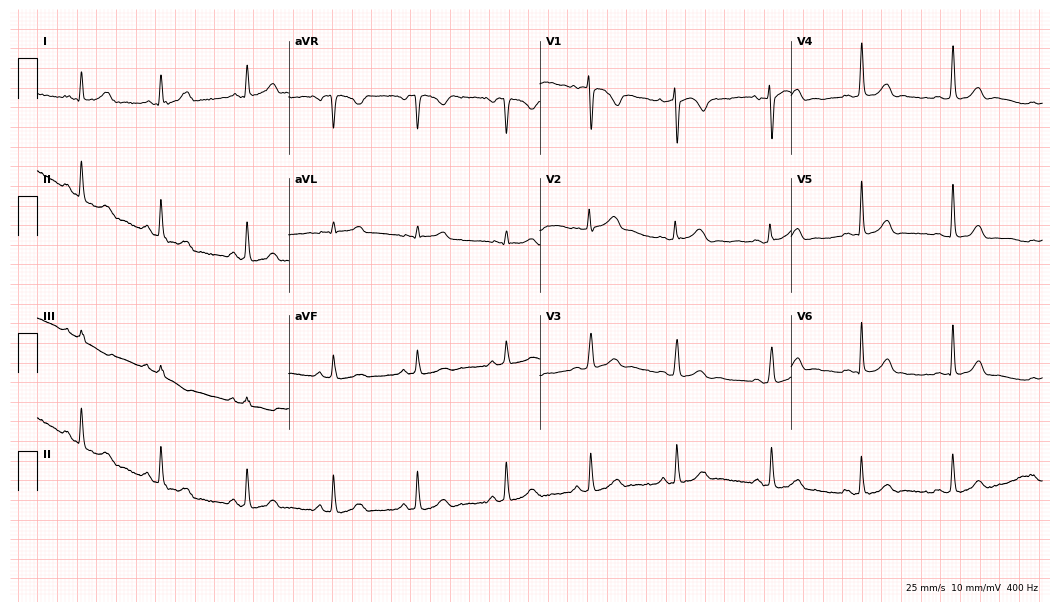
Resting 12-lead electrocardiogram (10.2-second recording at 400 Hz). Patient: a female, 28 years old. None of these six findings is recorded: first-degree AV block, right bundle branch block, left bundle branch block, sinus bradycardia, atrial fibrillation, sinus tachycardia.